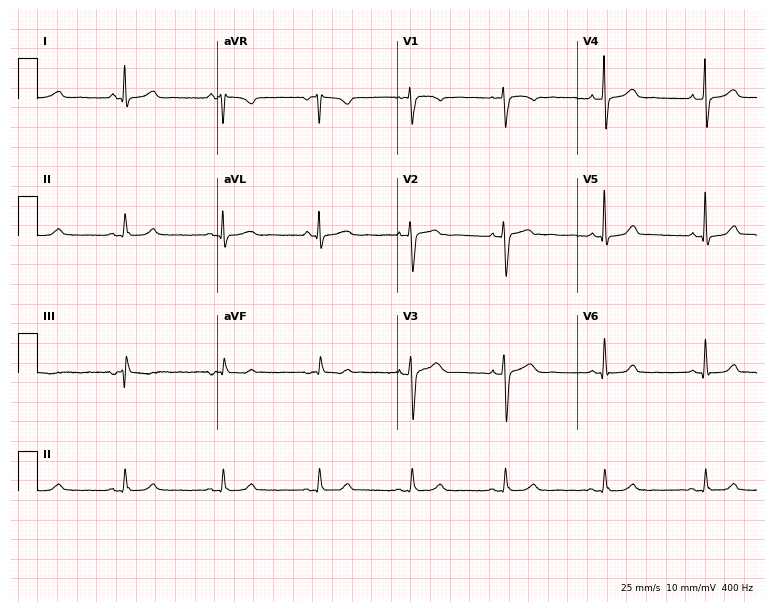
Standard 12-lead ECG recorded from a woman, 39 years old. Read as a normal ECG.